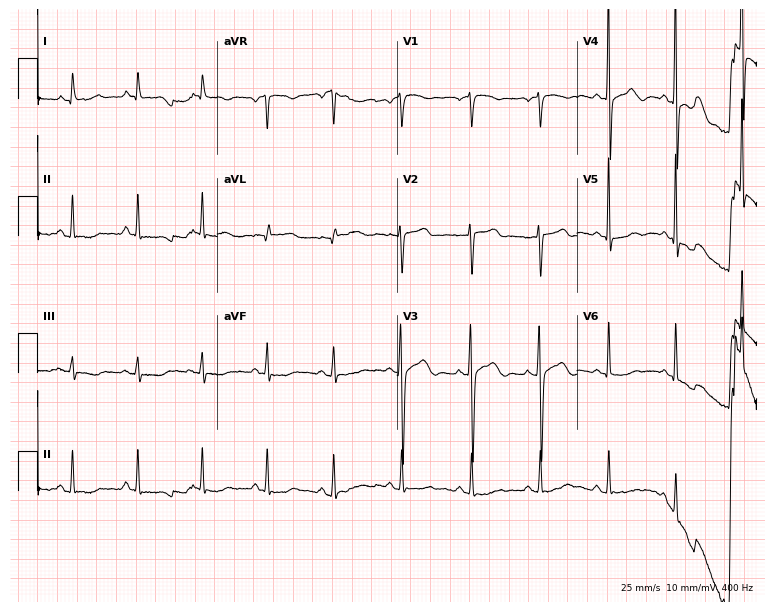
Standard 12-lead ECG recorded from a female patient, 56 years old. None of these six findings is recorded: first-degree AV block, right bundle branch block (RBBB), left bundle branch block (LBBB), sinus bradycardia, atrial fibrillation (AF), sinus tachycardia.